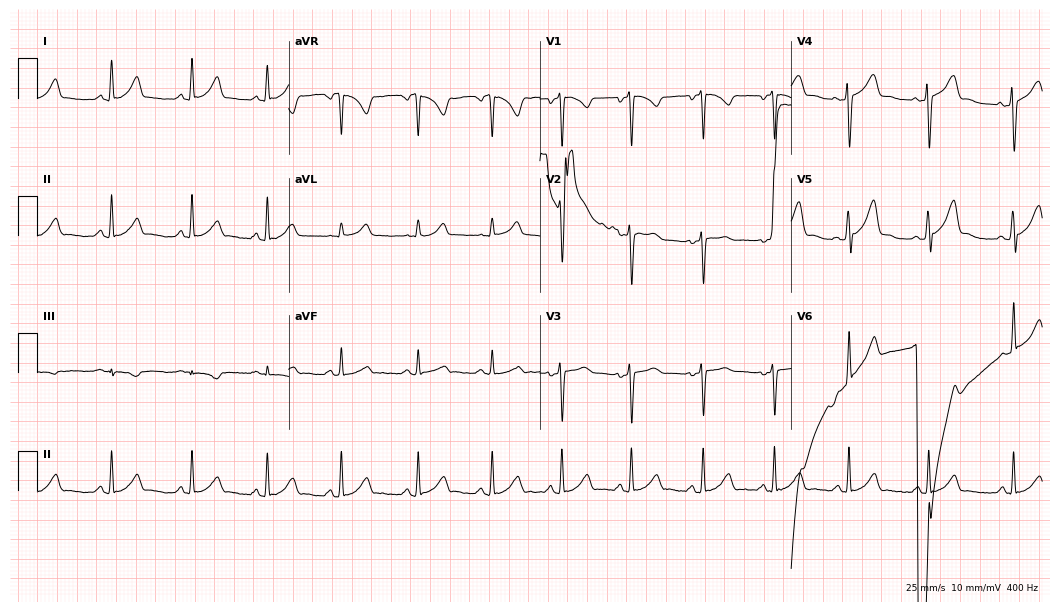
Electrocardiogram, a woman, 26 years old. Of the six screened findings (first-degree AV block, right bundle branch block, left bundle branch block, sinus bradycardia, atrial fibrillation, sinus tachycardia), none is recorded. Other findings, if any, are not listed.